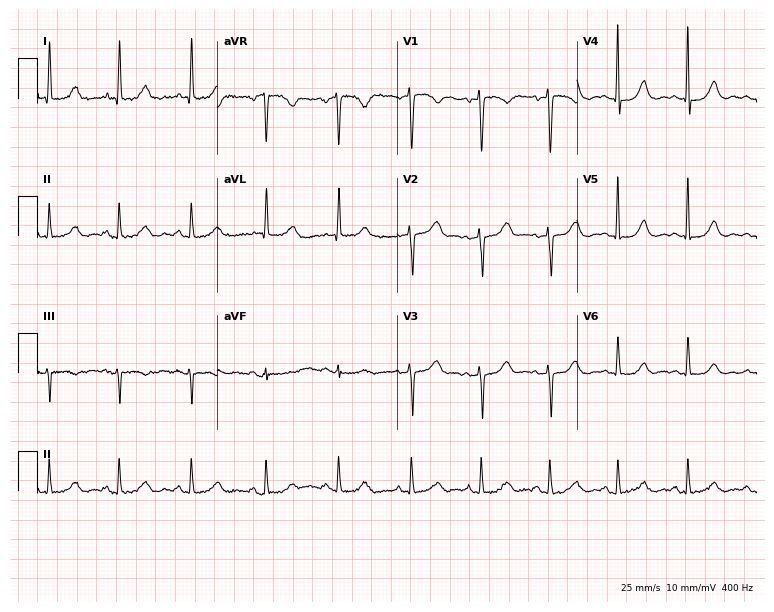
Electrocardiogram, a woman, 39 years old. Of the six screened findings (first-degree AV block, right bundle branch block, left bundle branch block, sinus bradycardia, atrial fibrillation, sinus tachycardia), none is recorded. Findings outside these six are not listed.